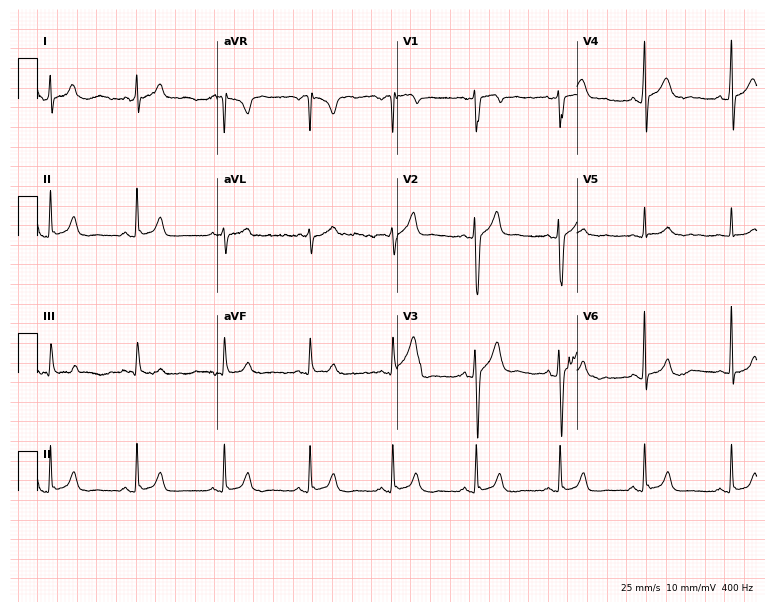
ECG (7.3-second recording at 400 Hz) — a male, 37 years old. Labelled as a normal ECG.